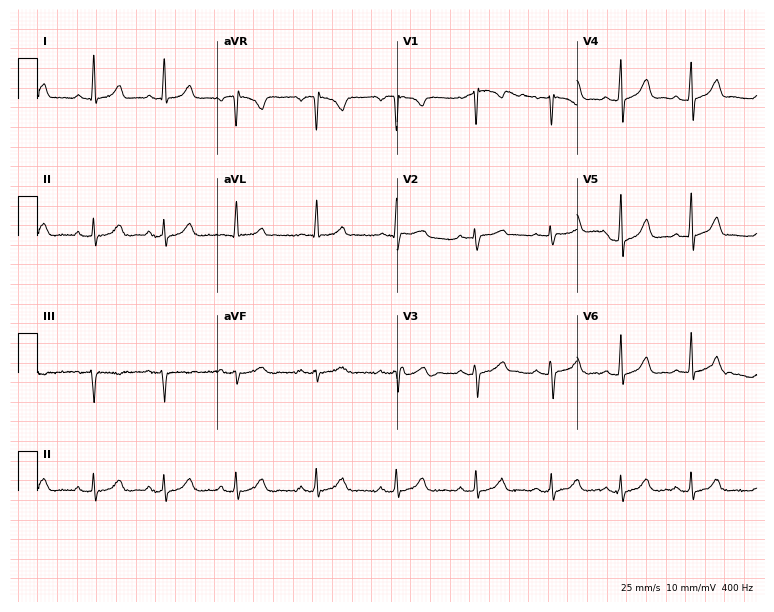
Electrocardiogram (7.3-second recording at 400 Hz), a 20-year-old woman. Overall reading on record: normal ECG.